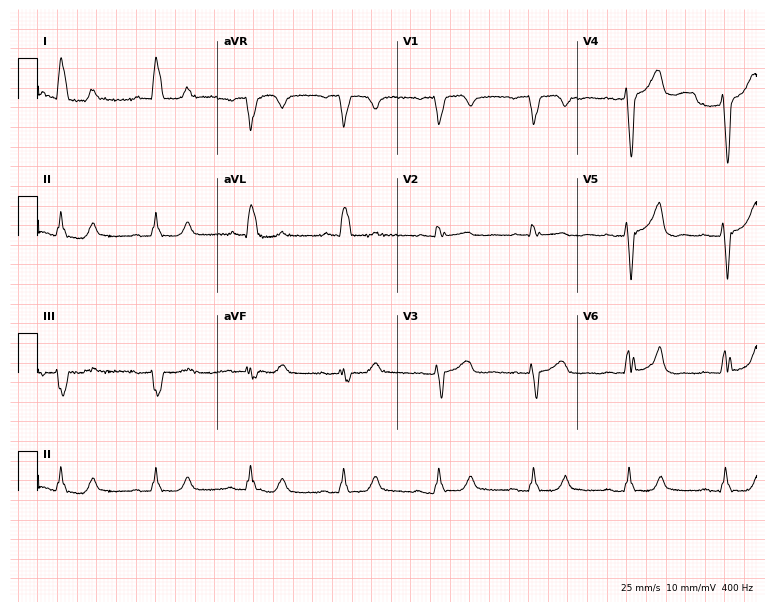
Resting 12-lead electrocardiogram. Patient: an 80-year-old woman. The tracing shows left bundle branch block (LBBB).